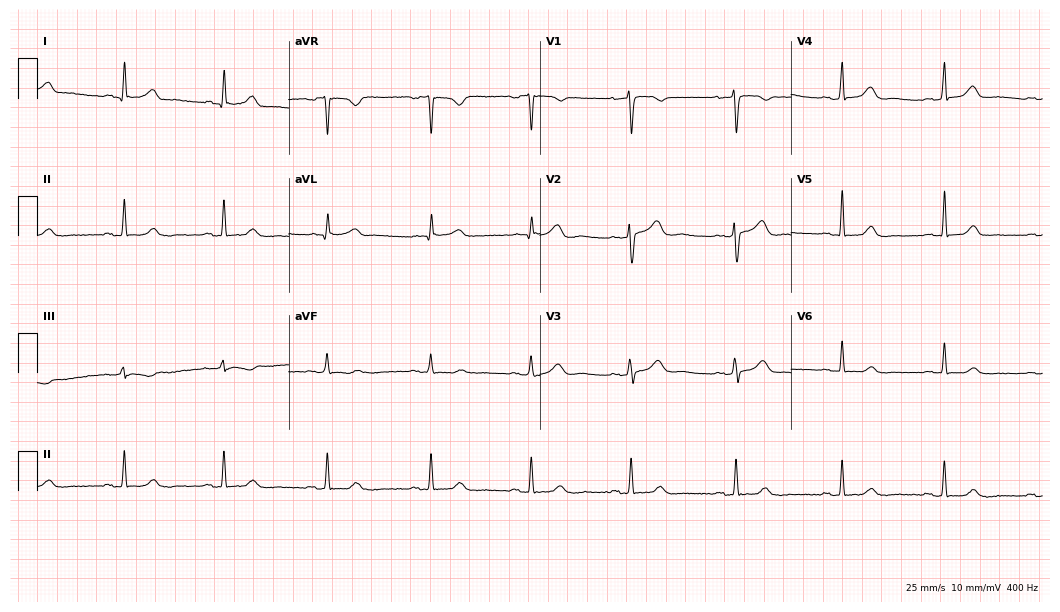
ECG — a 36-year-old female patient. Labelled as a normal ECG.